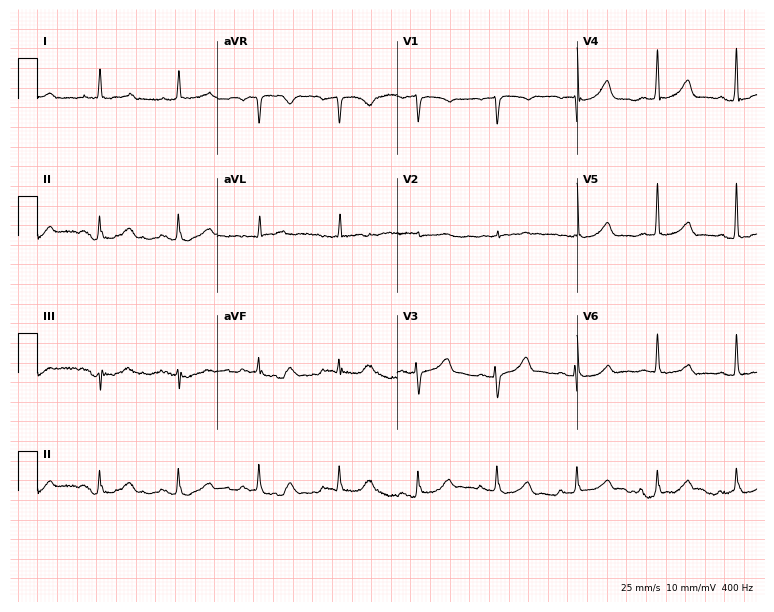
Electrocardiogram (7.3-second recording at 400 Hz), an 83-year-old female patient. Overall reading on record: normal ECG.